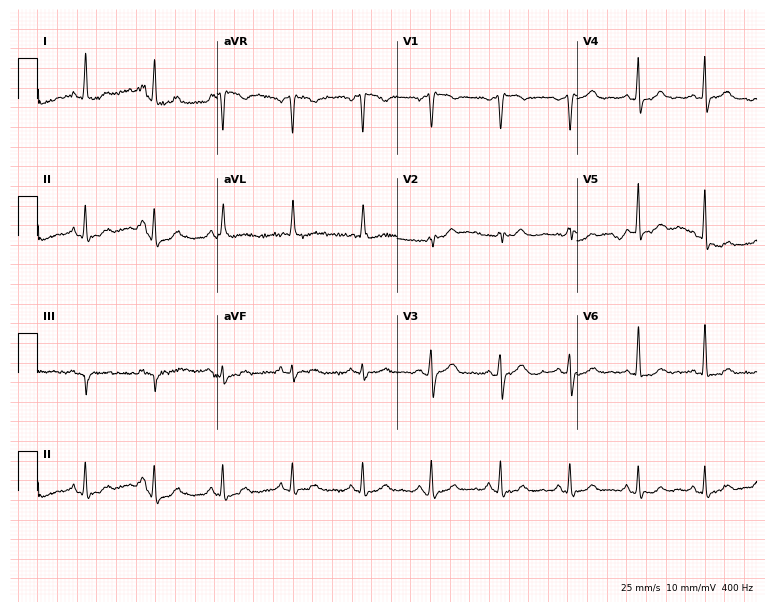
Resting 12-lead electrocardiogram (7.3-second recording at 400 Hz). Patient: a male, 63 years old. None of these six findings is recorded: first-degree AV block, right bundle branch block, left bundle branch block, sinus bradycardia, atrial fibrillation, sinus tachycardia.